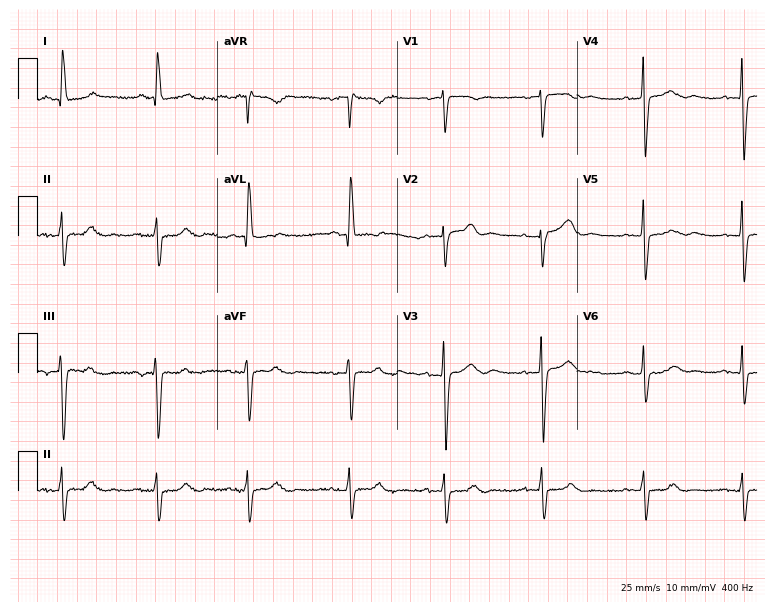
Resting 12-lead electrocardiogram. Patient: a 64-year-old female. None of these six findings is recorded: first-degree AV block, right bundle branch block (RBBB), left bundle branch block (LBBB), sinus bradycardia, atrial fibrillation (AF), sinus tachycardia.